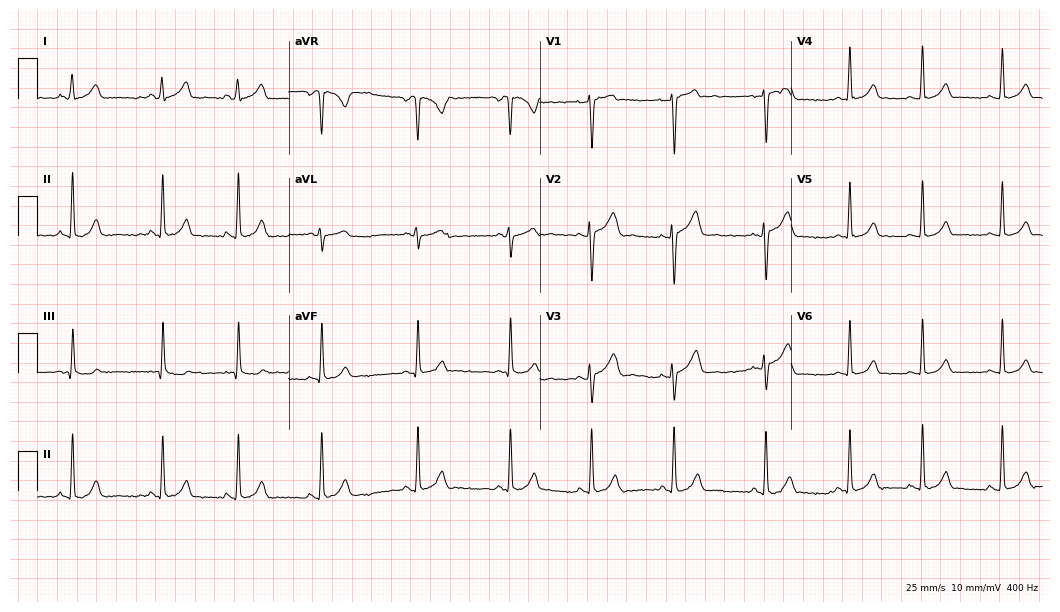
ECG — a 22-year-old female. Screened for six findings — first-degree AV block, right bundle branch block (RBBB), left bundle branch block (LBBB), sinus bradycardia, atrial fibrillation (AF), sinus tachycardia — none is recorded. Findings outside these six are not listed.